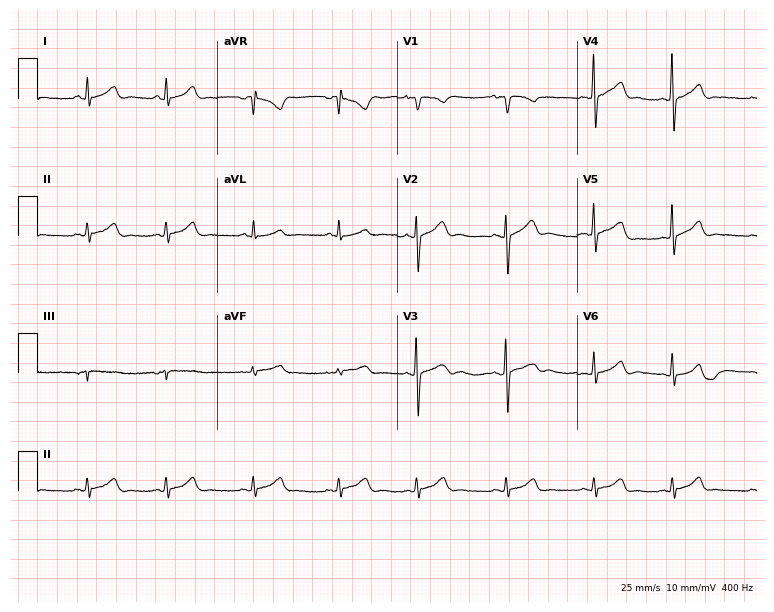
Resting 12-lead electrocardiogram. Patient: a 24-year-old female. None of these six findings is recorded: first-degree AV block, right bundle branch block, left bundle branch block, sinus bradycardia, atrial fibrillation, sinus tachycardia.